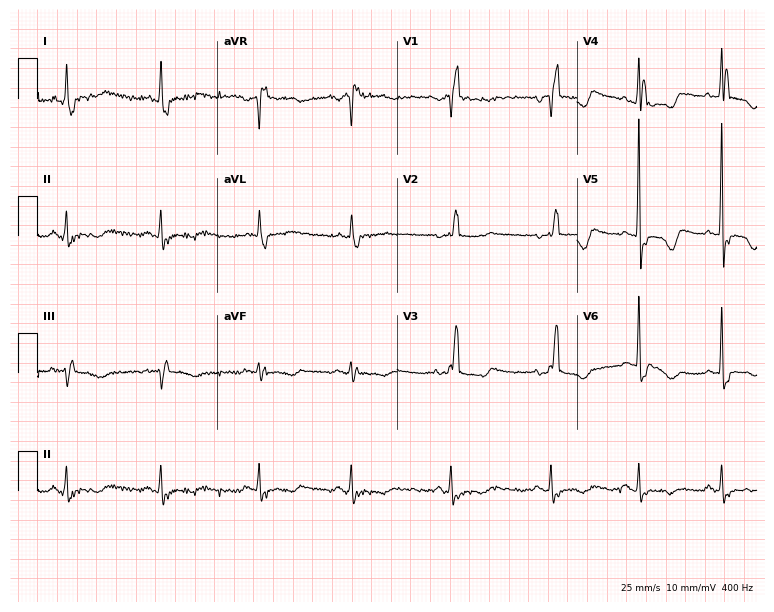
12-lead ECG (7.3-second recording at 400 Hz) from a woman, 73 years old. Findings include right bundle branch block.